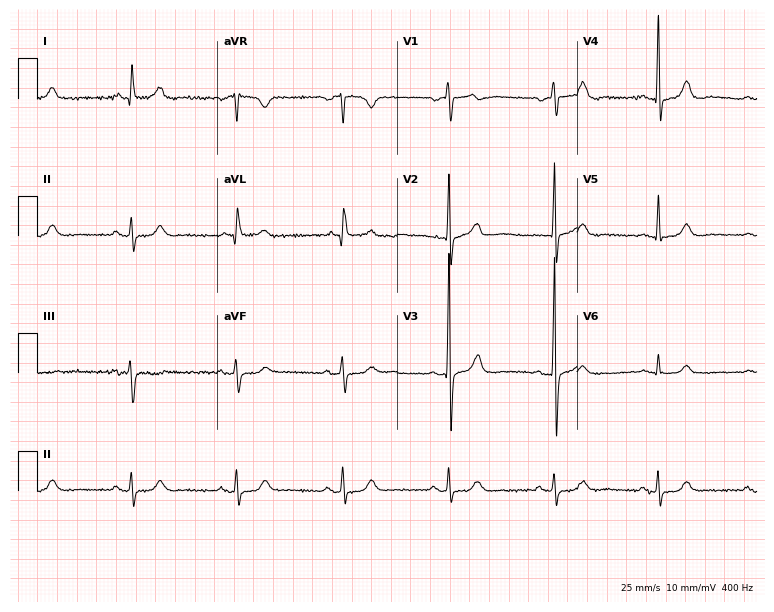
Standard 12-lead ECG recorded from a 66-year-old male (7.3-second recording at 400 Hz). Read as a normal ECG.